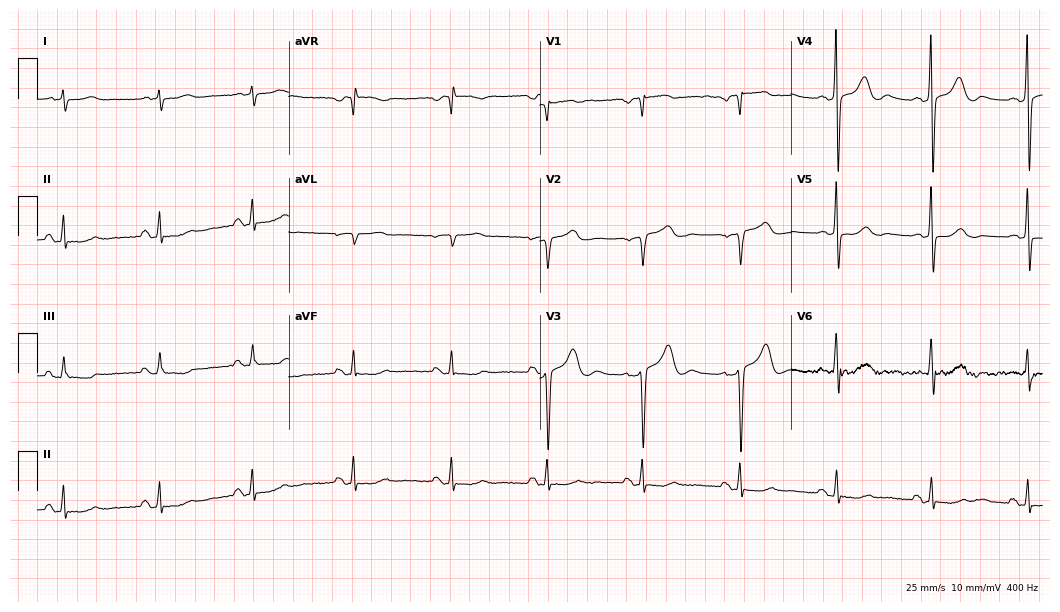
Resting 12-lead electrocardiogram. Patient: an 85-year-old man. None of these six findings is recorded: first-degree AV block, right bundle branch block, left bundle branch block, sinus bradycardia, atrial fibrillation, sinus tachycardia.